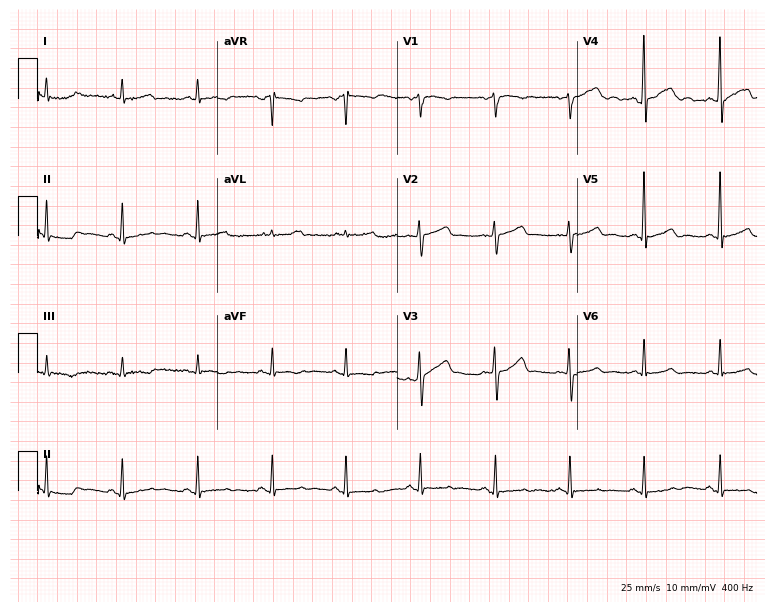
Resting 12-lead electrocardiogram. Patient: a 62-year-old male. None of these six findings is recorded: first-degree AV block, right bundle branch block, left bundle branch block, sinus bradycardia, atrial fibrillation, sinus tachycardia. Other findings, if any, are not listed.